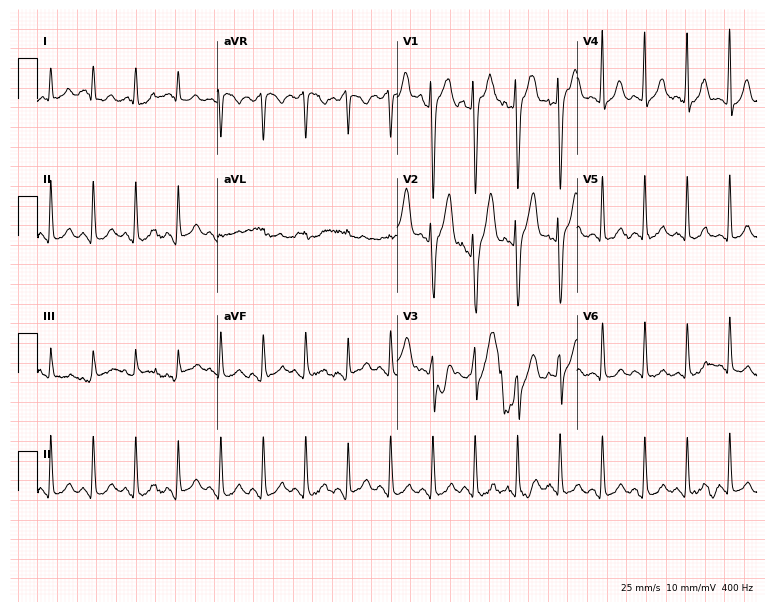
Standard 12-lead ECG recorded from a 32-year-old female. The tracing shows sinus tachycardia (a sinus rate of 100 beats per minute or more).